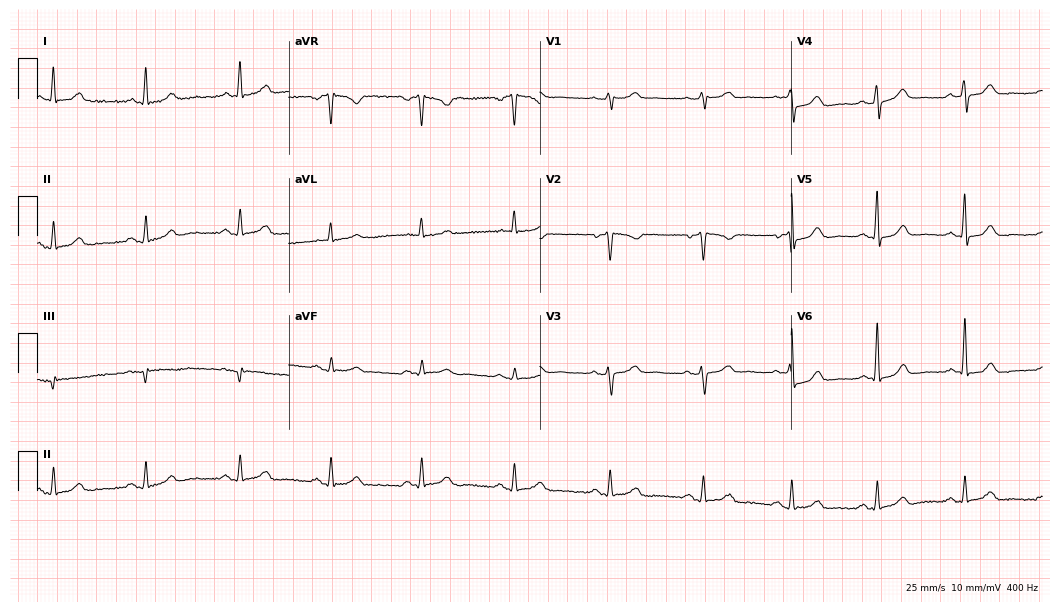
Standard 12-lead ECG recorded from a 64-year-old woman. None of these six findings is recorded: first-degree AV block, right bundle branch block (RBBB), left bundle branch block (LBBB), sinus bradycardia, atrial fibrillation (AF), sinus tachycardia.